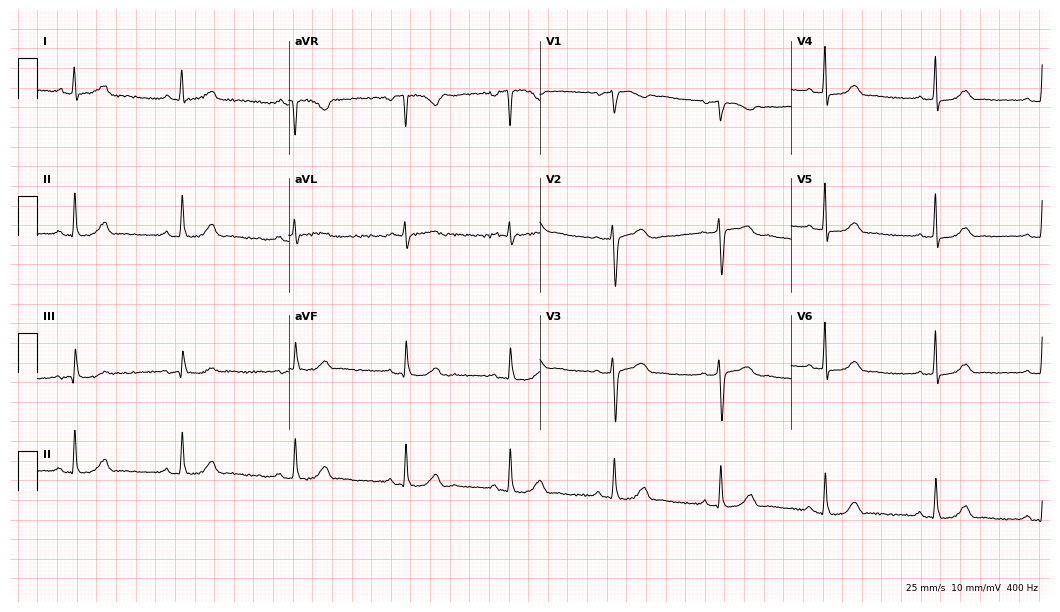
ECG (10.2-second recording at 400 Hz) — a 57-year-old female patient. Labelled as a normal ECG.